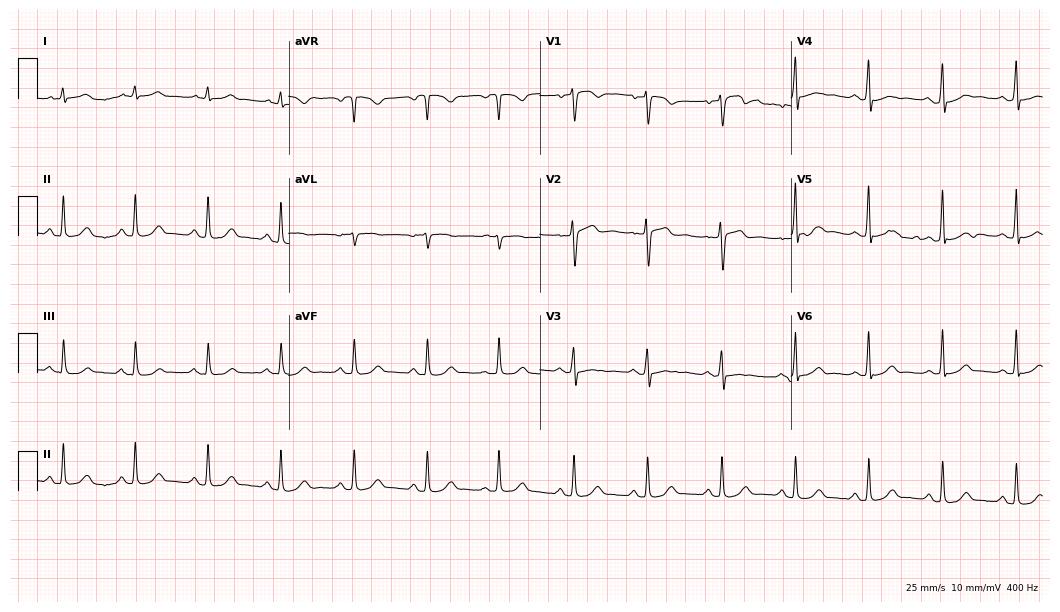
12-lead ECG (10.2-second recording at 400 Hz) from a man, 52 years old. Screened for six findings — first-degree AV block, right bundle branch block, left bundle branch block, sinus bradycardia, atrial fibrillation, sinus tachycardia — none is recorded.